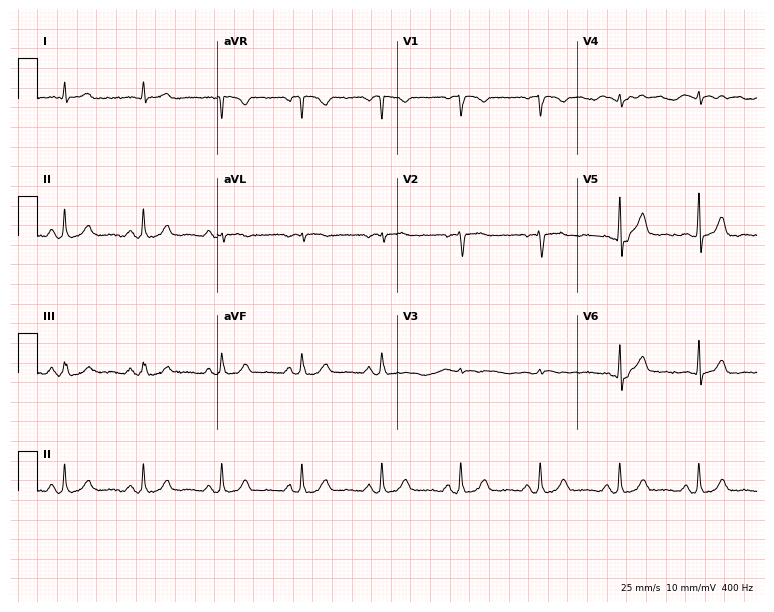
ECG — a man, 64 years old. Labelled as a normal ECG.